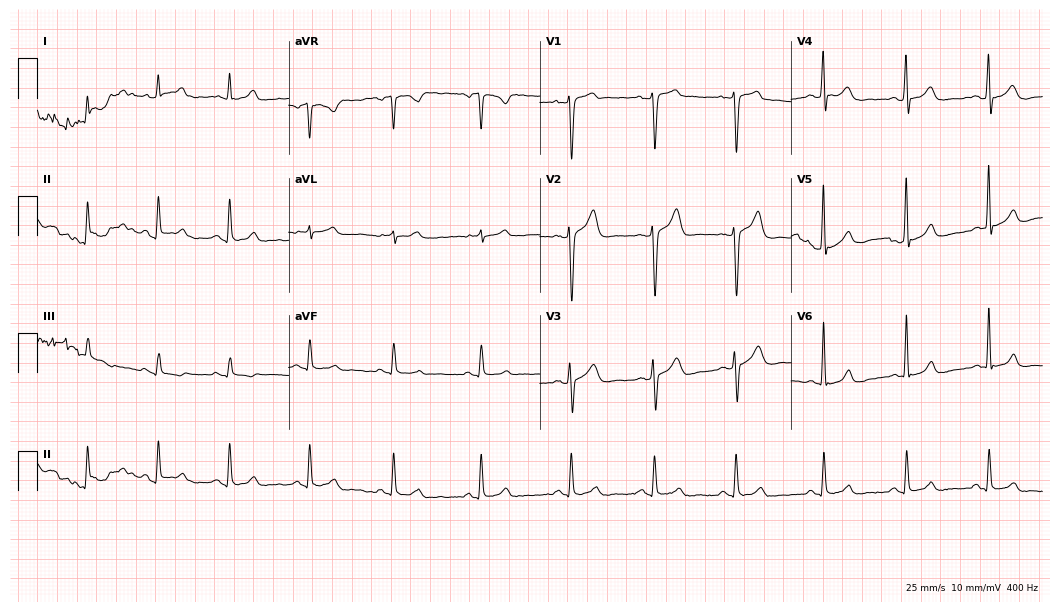
Electrocardiogram, a male, 31 years old. Overall reading on record: normal ECG.